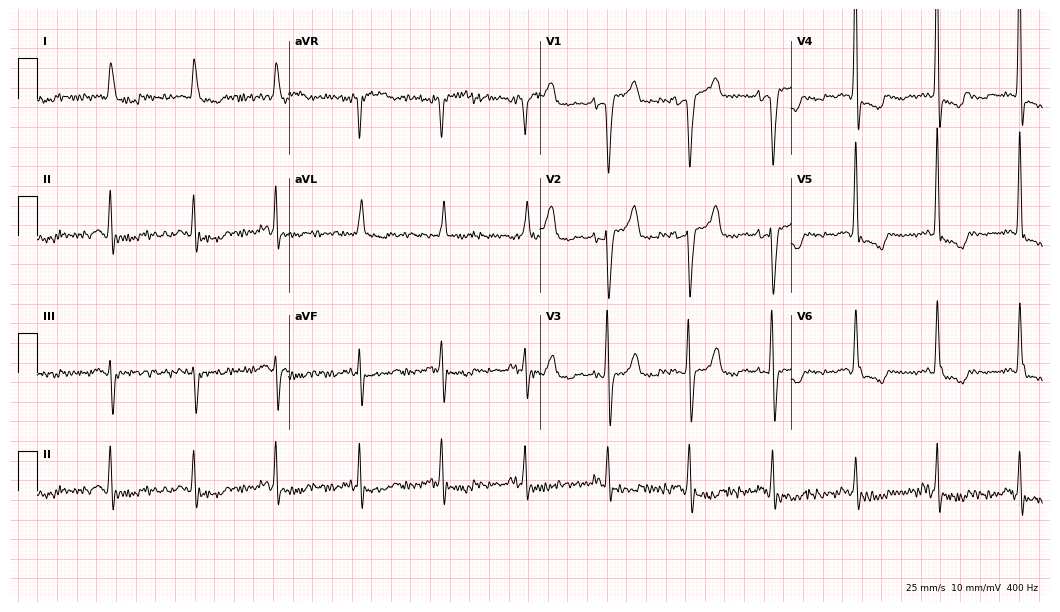
ECG (10.2-second recording at 400 Hz) — a female patient, 79 years old. Labelled as a normal ECG.